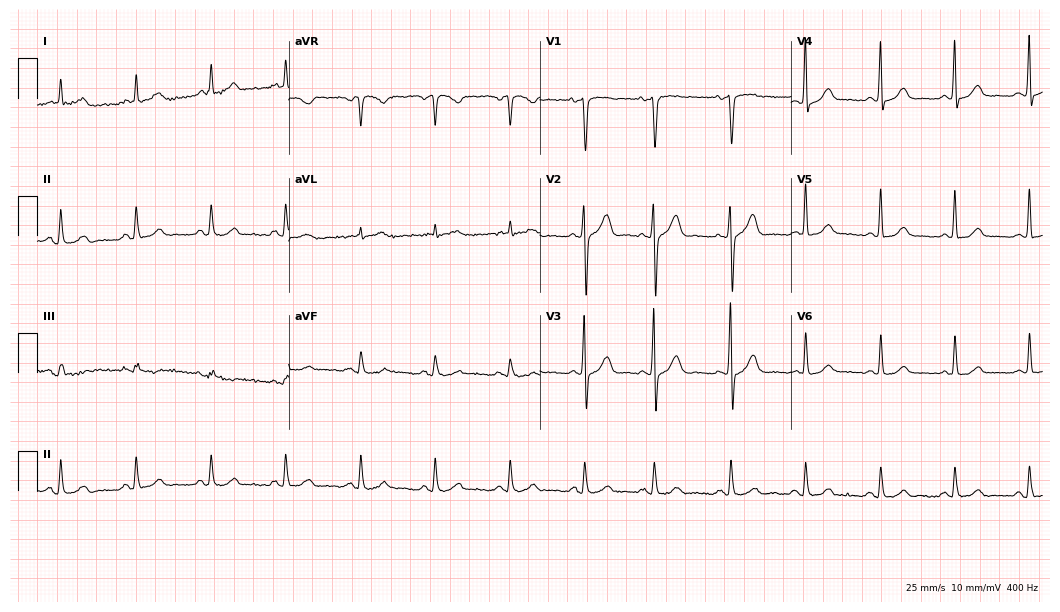
12-lead ECG from a 69-year-old male. Recorded interpretation: within normal limits.